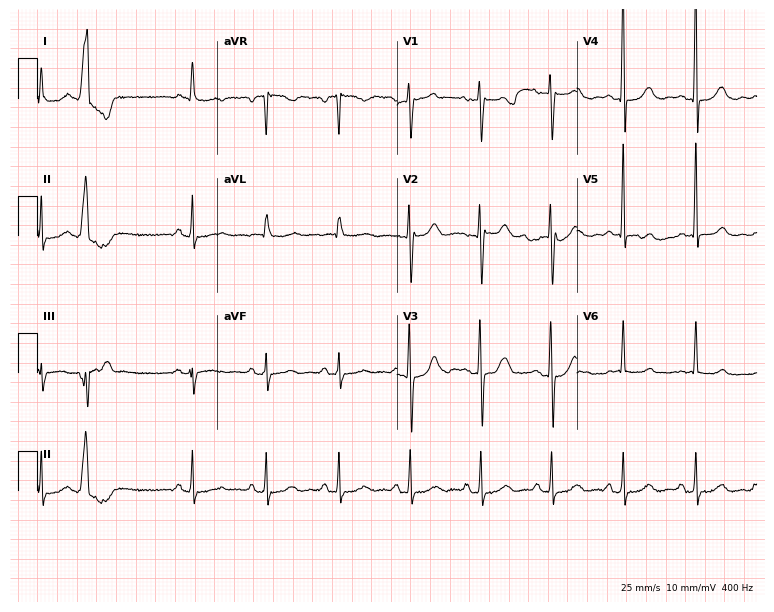
Standard 12-lead ECG recorded from a 64-year-old female. None of these six findings is recorded: first-degree AV block, right bundle branch block (RBBB), left bundle branch block (LBBB), sinus bradycardia, atrial fibrillation (AF), sinus tachycardia. Only these six findings were labelled.